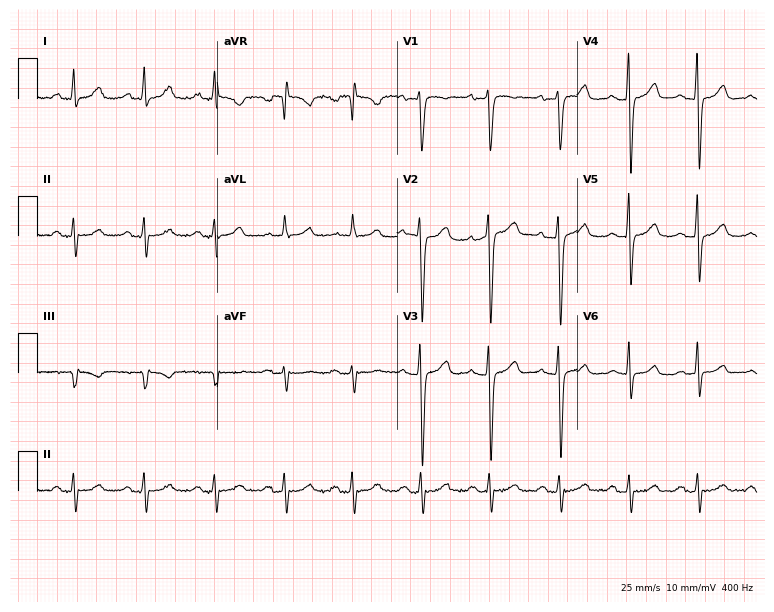
12-lead ECG from a woman, 53 years old. Screened for six findings — first-degree AV block, right bundle branch block (RBBB), left bundle branch block (LBBB), sinus bradycardia, atrial fibrillation (AF), sinus tachycardia — none is recorded. Only these six findings were labelled.